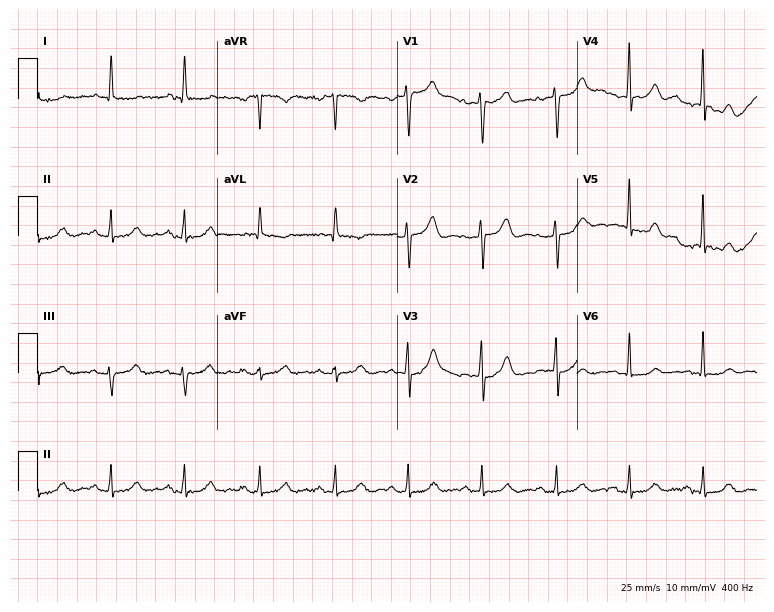
Standard 12-lead ECG recorded from a 74-year-old female (7.3-second recording at 400 Hz). Read as a normal ECG.